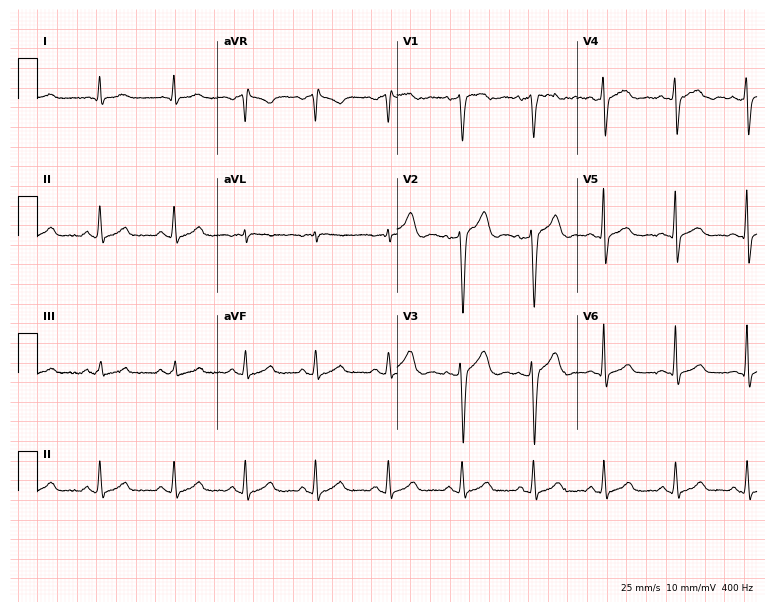
Electrocardiogram, a male, 19 years old. Overall reading on record: normal ECG.